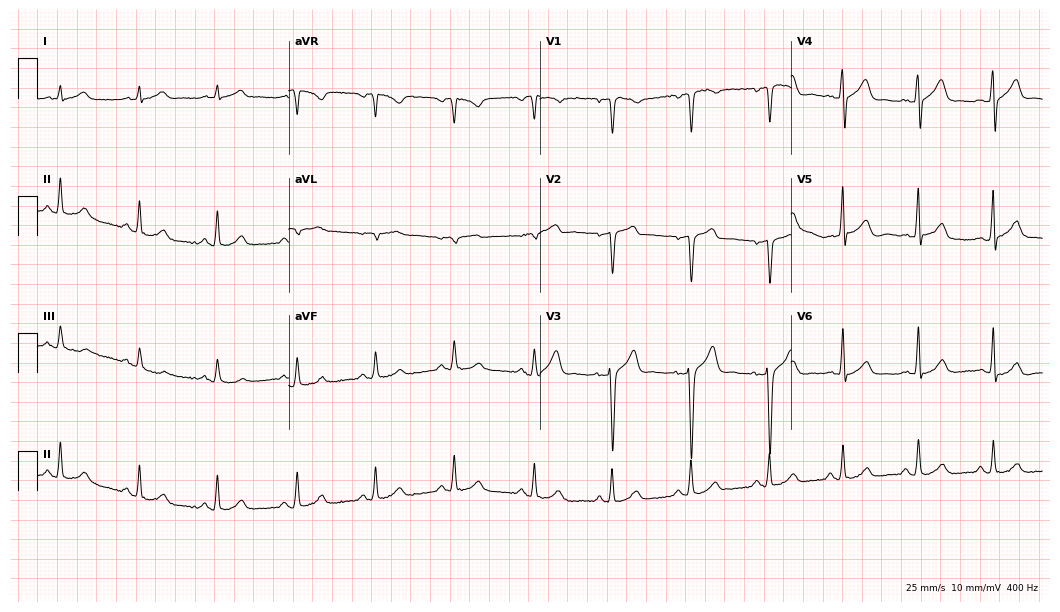
12-lead ECG from a 62-year-old man. Screened for six findings — first-degree AV block, right bundle branch block, left bundle branch block, sinus bradycardia, atrial fibrillation, sinus tachycardia — none is recorded. Other findings, if any, are not listed.